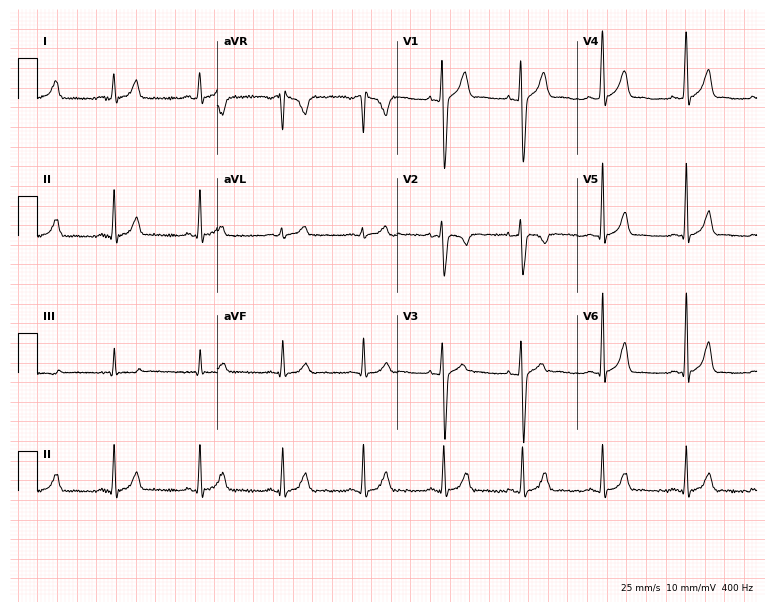
ECG (7.3-second recording at 400 Hz) — a 22-year-old male. Labelled as a normal ECG.